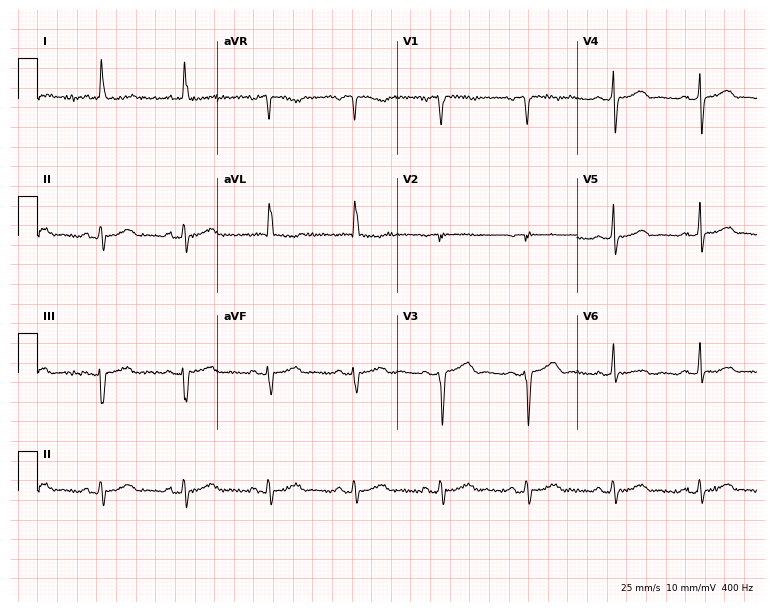
Electrocardiogram (7.3-second recording at 400 Hz), a 67-year-old female patient. Of the six screened findings (first-degree AV block, right bundle branch block, left bundle branch block, sinus bradycardia, atrial fibrillation, sinus tachycardia), none is recorded.